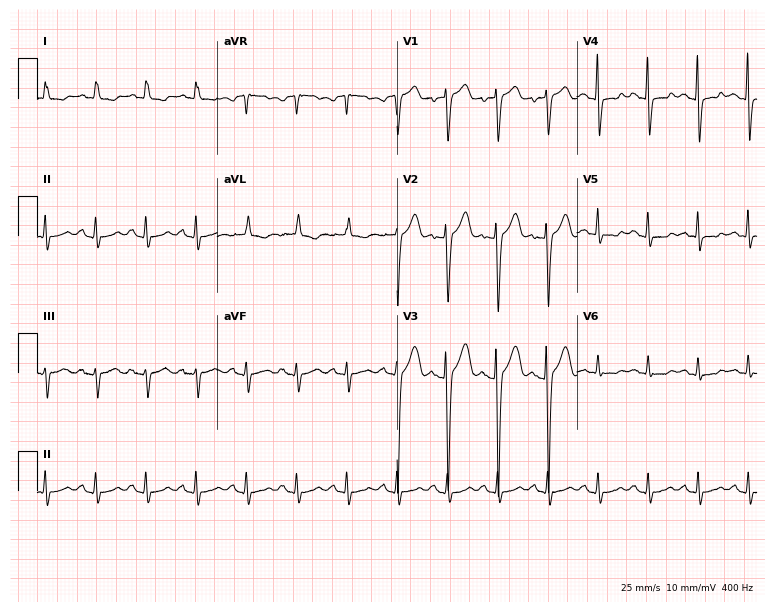
Electrocardiogram, a woman, 72 years old. Interpretation includes sinus tachycardia (a sinus rate of 100 beats per minute or more).